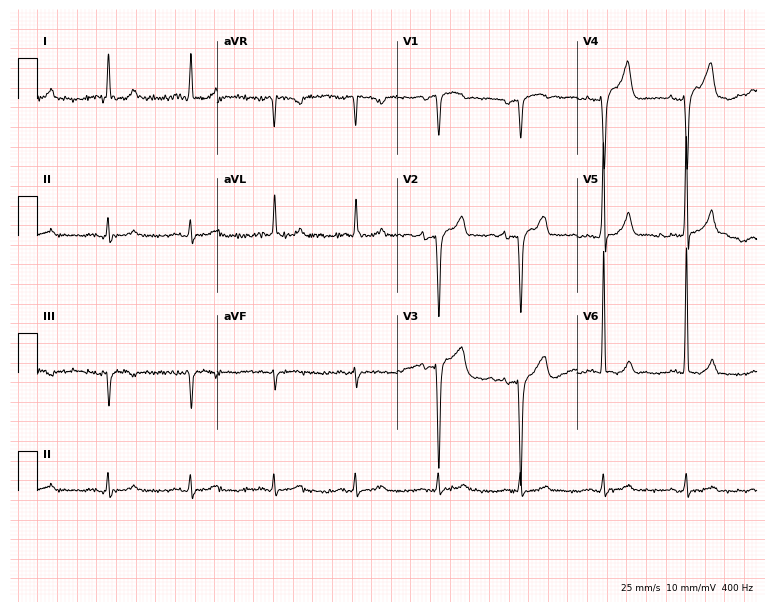
12-lead ECG from a woman, 84 years old. Screened for six findings — first-degree AV block, right bundle branch block, left bundle branch block, sinus bradycardia, atrial fibrillation, sinus tachycardia — none is recorded. Other findings, if any, are not listed.